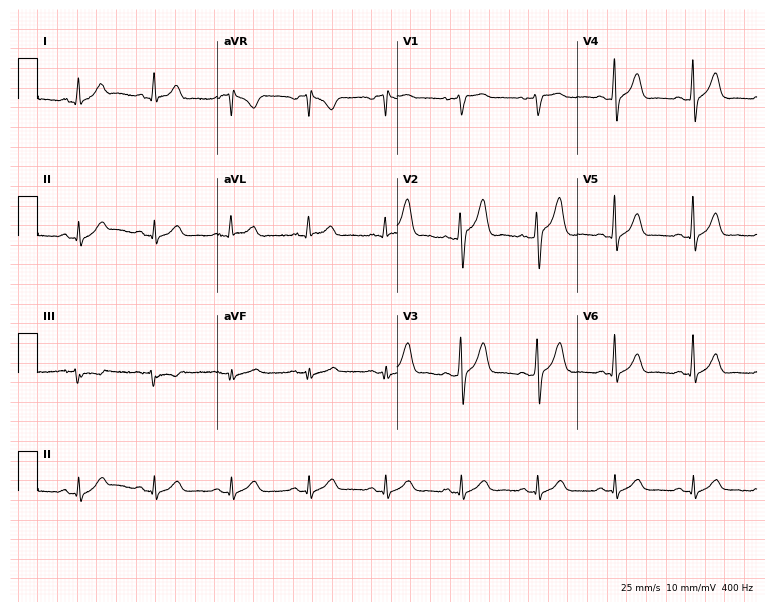
Standard 12-lead ECG recorded from a male patient, 48 years old (7.3-second recording at 400 Hz). Read as a normal ECG.